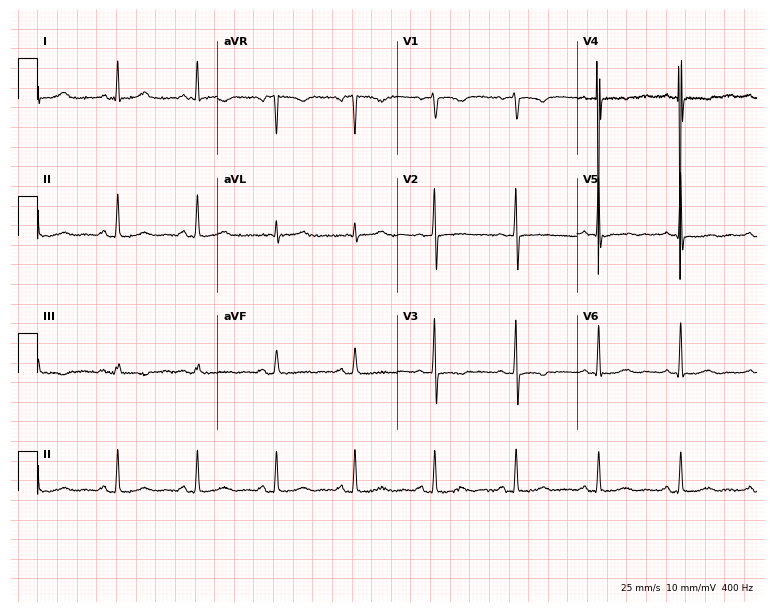
Resting 12-lead electrocardiogram. Patient: a woman, 62 years old. None of these six findings is recorded: first-degree AV block, right bundle branch block, left bundle branch block, sinus bradycardia, atrial fibrillation, sinus tachycardia. Findings outside these six are not listed.